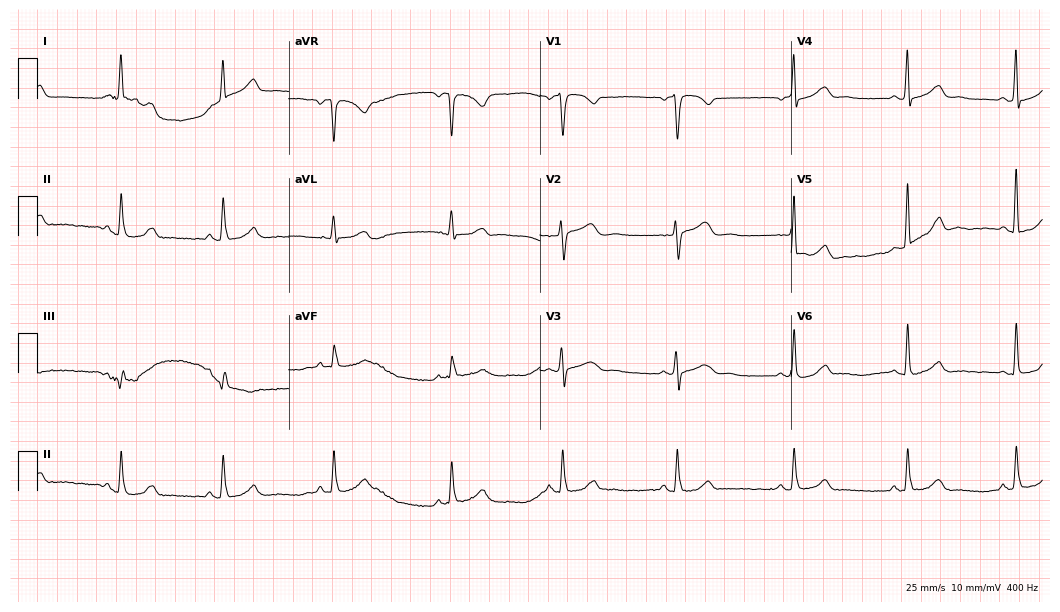
Standard 12-lead ECG recorded from a woman, 59 years old (10.2-second recording at 400 Hz). Read as a normal ECG.